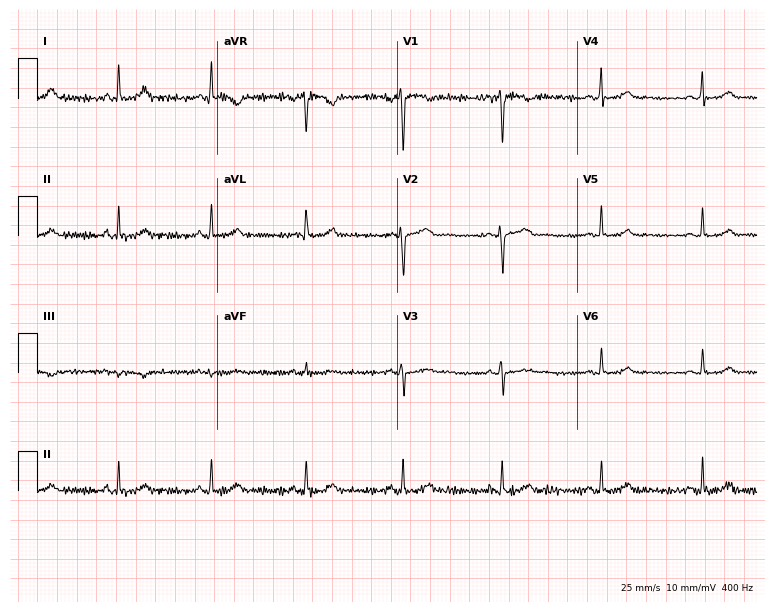
Standard 12-lead ECG recorded from a female, 41 years old. None of these six findings is recorded: first-degree AV block, right bundle branch block, left bundle branch block, sinus bradycardia, atrial fibrillation, sinus tachycardia.